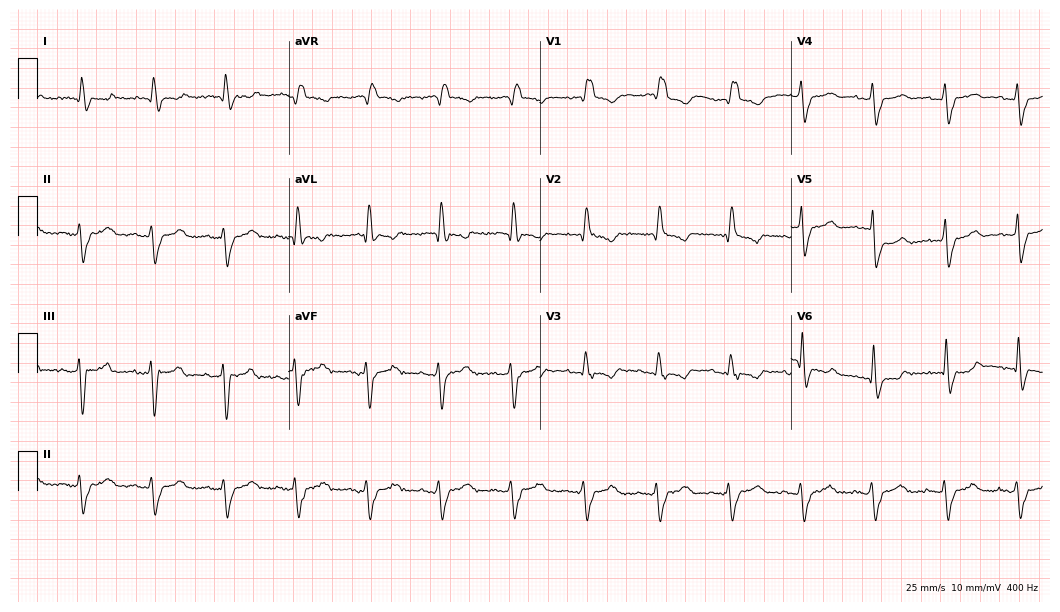
12-lead ECG (10.2-second recording at 400 Hz) from a female, 87 years old. Findings include right bundle branch block.